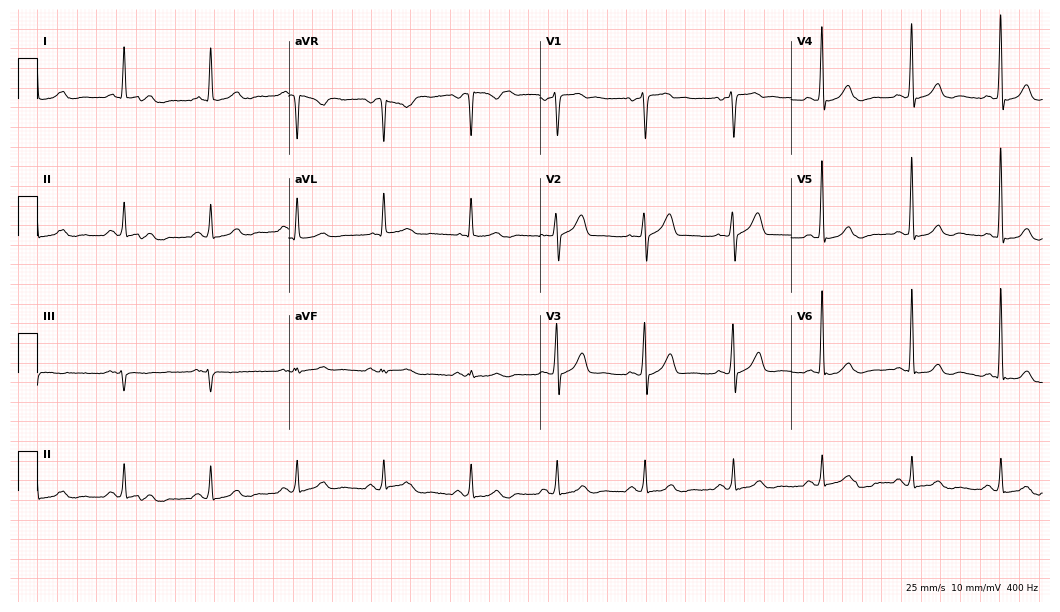
Standard 12-lead ECG recorded from a male patient, 54 years old. Read as a normal ECG.